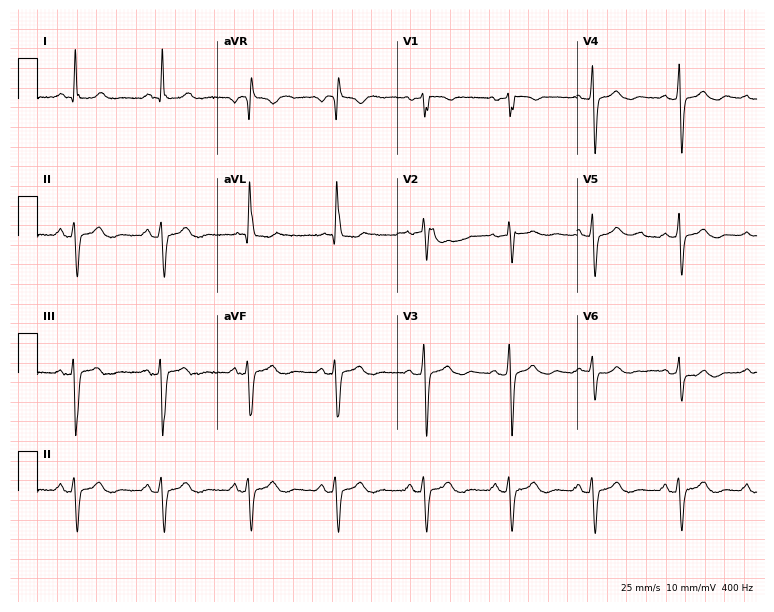
Standard 12-lead ECG recorded from a female patient, 69 years old. None of these six findings is recorded: first-degree AV block, right bundle branch block, left bundle branch block, sinus bradycardia, atrial fibrillation, sinus tachycardia. Findings outside these six are not listed.